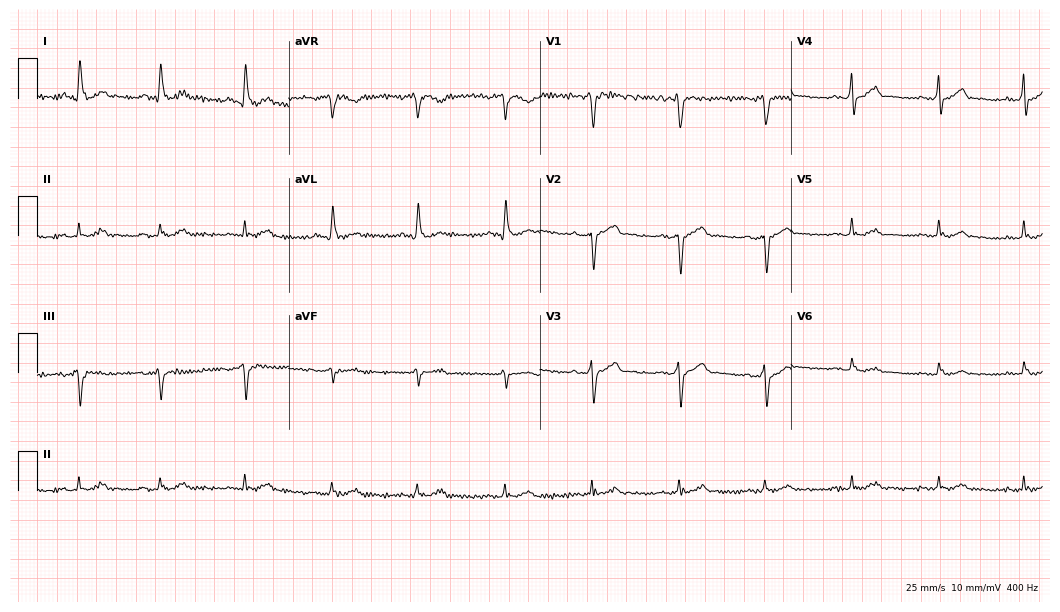
Standard 12-lead ECG recorded from a 44-year-old man. None of these six findings is recorded: first-degree AV block, right bundle branch block, left bundle branch block, sinus bradycardia, atrial fibrillation, sinus tachycardia.